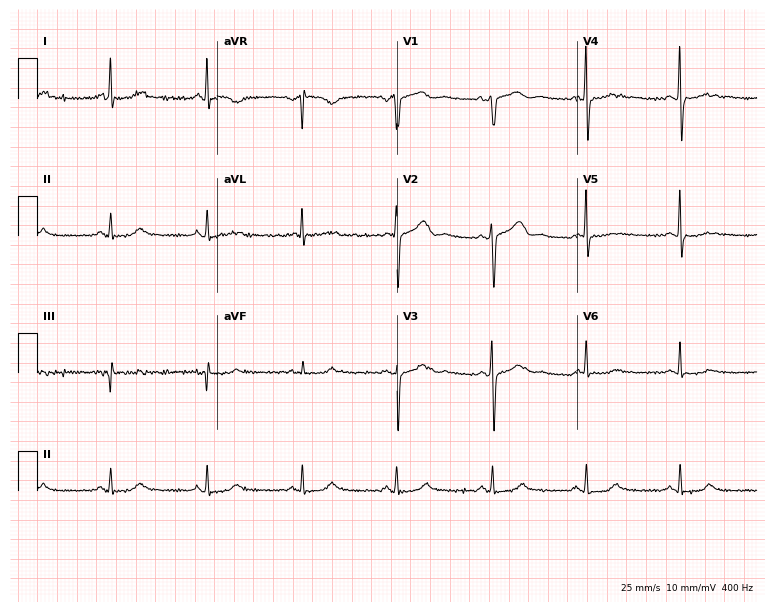
12-lead ECG (7.3-second recording at 400 Hz) from a female, 63 years old. Screened for six findings — first-degree AV block, right bundle branch block, left bundle branch block, sinus bradycardia, atrial fibrillation, sinus tachycardia — none is recorded. Only these six findings were labelled.